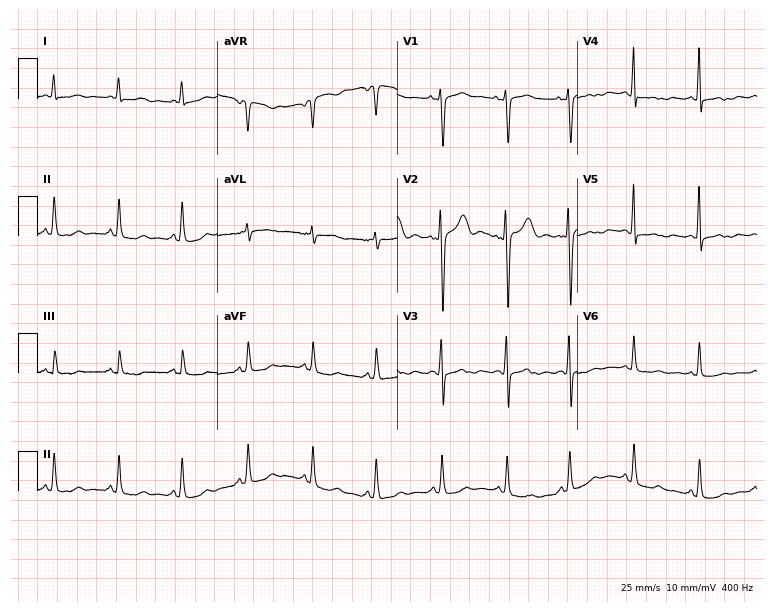
Electrocardiogram, a female, 58 years old. Of the six screened findings (first-degree AV block, right bundle branch block, left bundle branch block, sinus bradycardia, atrial fibrillation, sinus tachycardia), none is recorded. Findings outside these six are not listed.